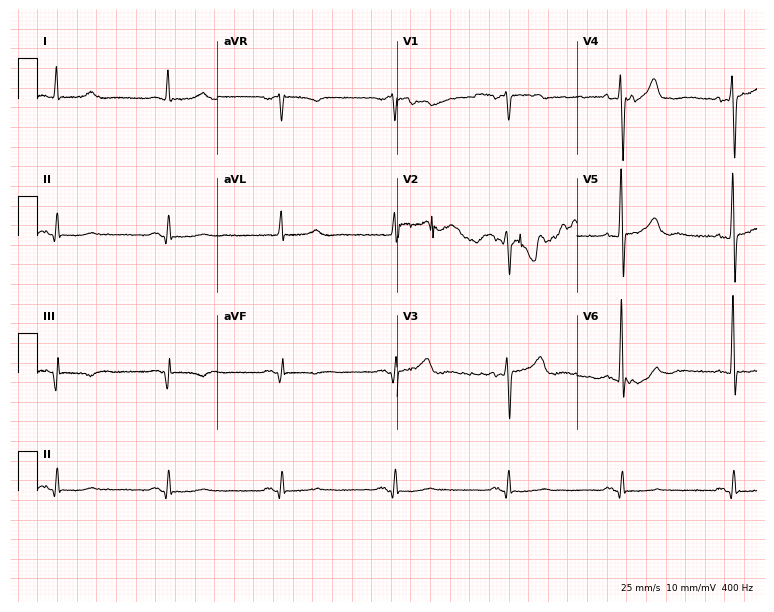
12-lead ECG (7.3-second recording at 400 Hz) from a 70-year-old man. Screened for six findings — first-degree AV block, right bundle branch block, left bundle branch block, sinus bradycardia, atrial fibrillation, sinus tachycardia — none is recorded.